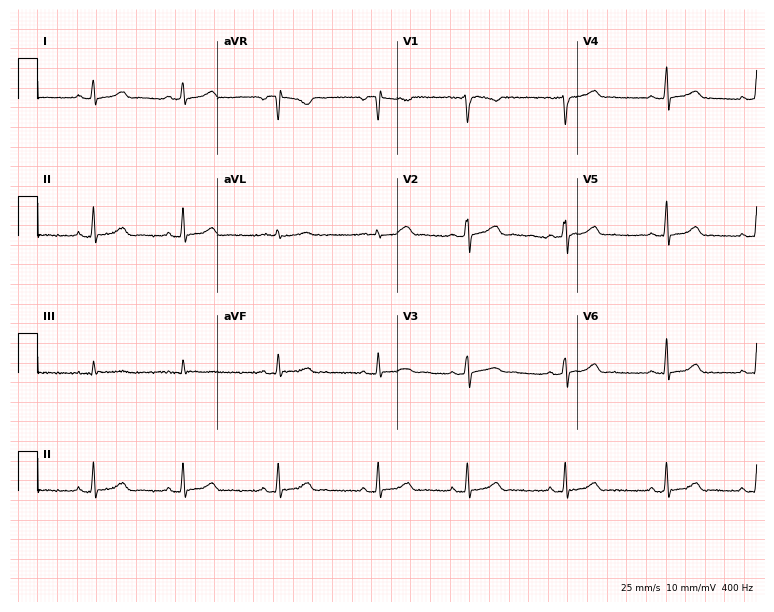
Electrocardiogram (7.3-second recording at 400 Hz), a female, 24 years old. Overall reading on record: normal ECG.